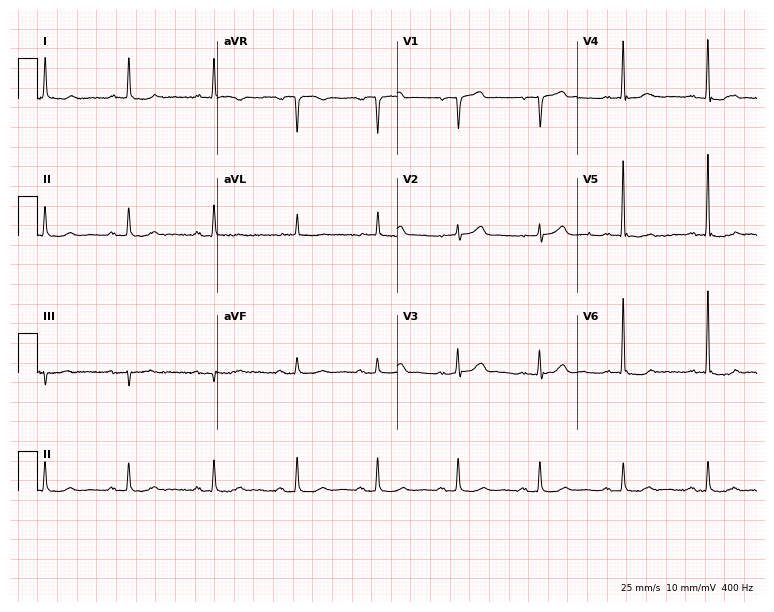
Standard 12-lead ECG recorded from a male patient, 78 years old. None of these six findings is recorded: first-degree AV block, right bundle branch block (RBBB), left bundle branch block (LBBB), sinus bradycardia, atrial fibrillation (AF), sinus tachycardia.